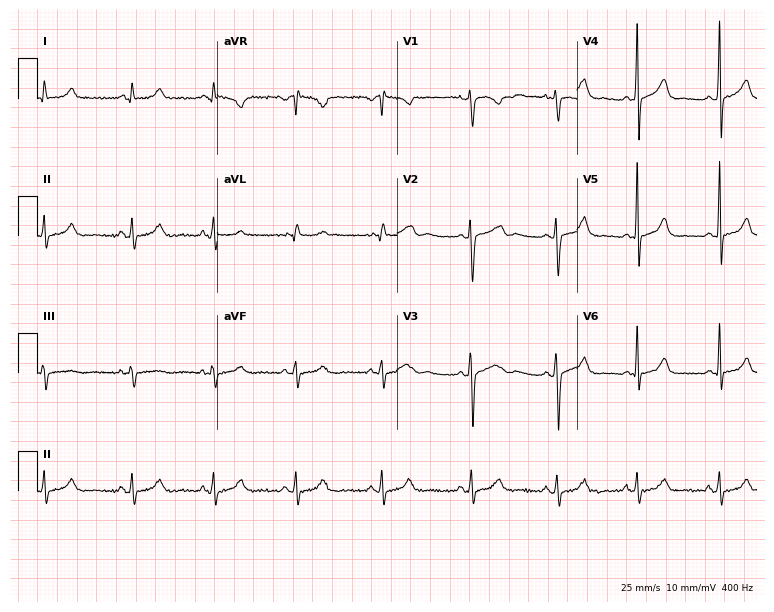
Standard 12-lead ECG recorded from a female patient, 18 years old (7.3-second recording at 400 Hz). Read as a normal ECG.